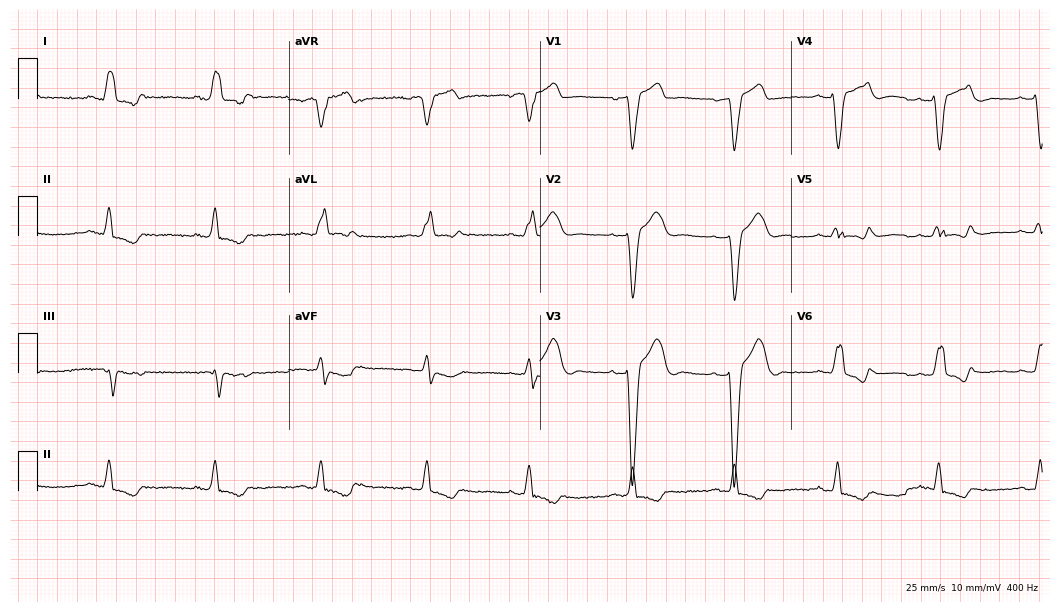
Electrocardiogram, a male, 64 years old. Interpretation includes left bundle branch block.